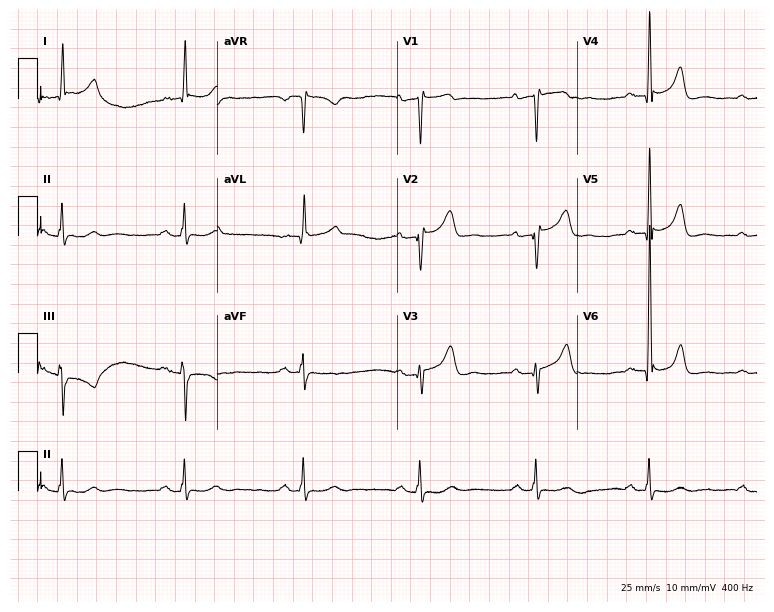
Standard 12-lead ECG recorded from a male, 67 years old. None of these six findings is recorded: first-degree AV block, right bundle branch block, left bundle branch block, sinus bradycardia, atrial fibrillation, sinus tachycardia. Only these six findings were labelled.